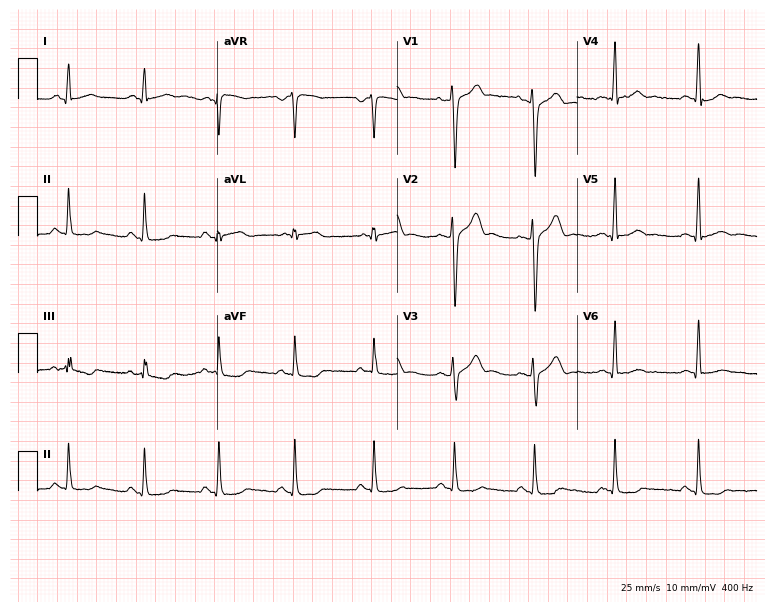
12-lead ECG from a male, 38 years old. No first-degree AV block, right bundle branch block (RBBB), left bundle branch block (LBBB), sinus bradycardia, atrial fibrillation (AF) or sinus tachycardia recorded for this tracing. Findings outside these six are not listed.